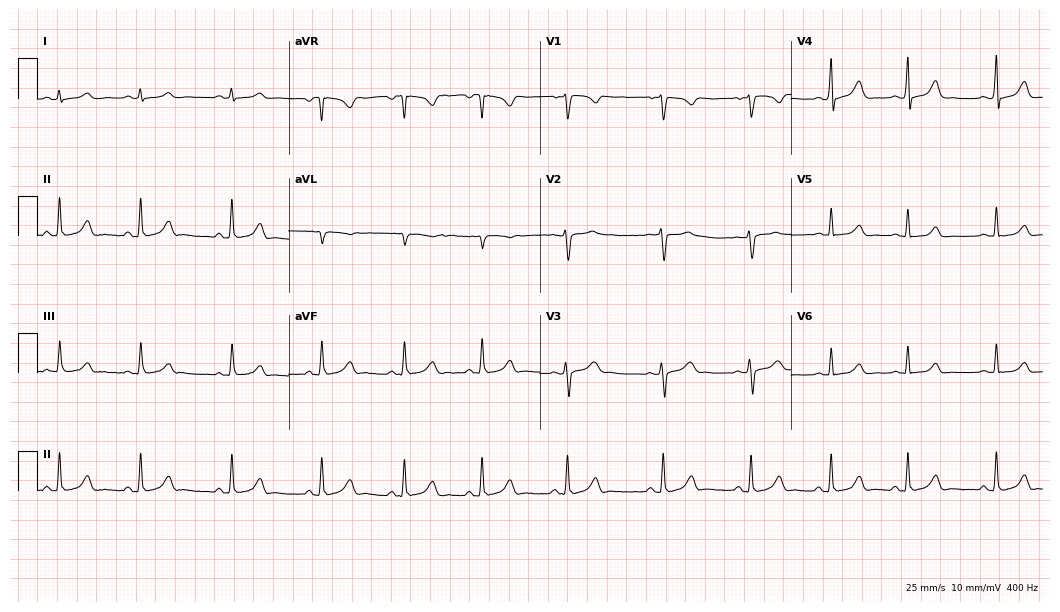
Standard 12-lead ECG recorded from a female patient, 17 years old (10.2-second recording at 400 Hz). Read as a normal ECG.